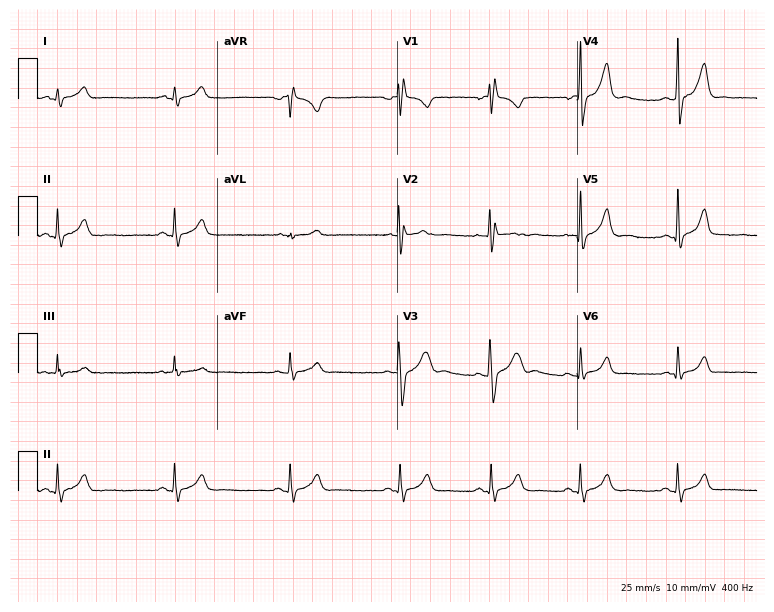
12-lead ECG from a male, 20 years old (7.3-second recording at 400 Hz). No first-degree AV block, right bundle branch block, left bundle branch block, sinus bradycardia, atrial fibrillation or sinus tachycardia recorded for this tracing. Other findings, if any, are not listed.